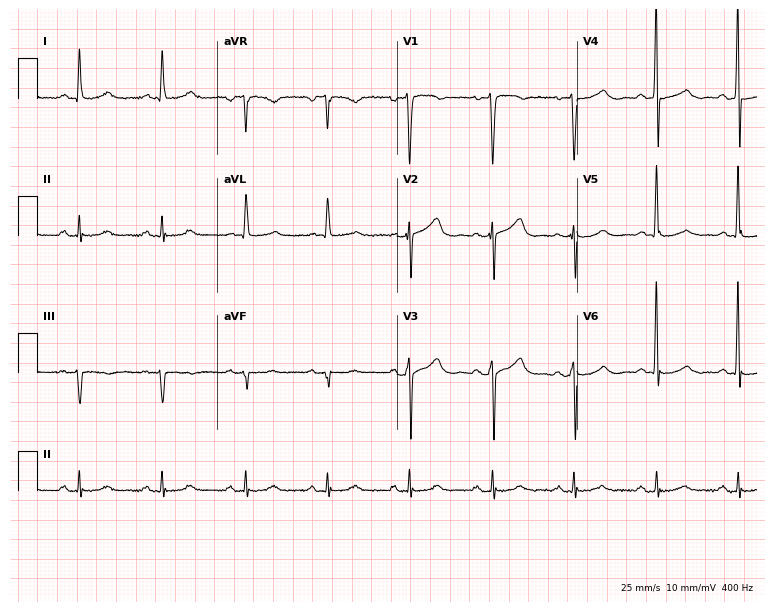
Resting 12-lead electrocardiogram. Patient: a female, 56 years old. None of these six findings is recorded: first-degree AV block, right bundle branch block (RBBB), left bundle branch block (LBBB), sinus bradycardia, atrial fibrillation (AF), sinus tachycardia.